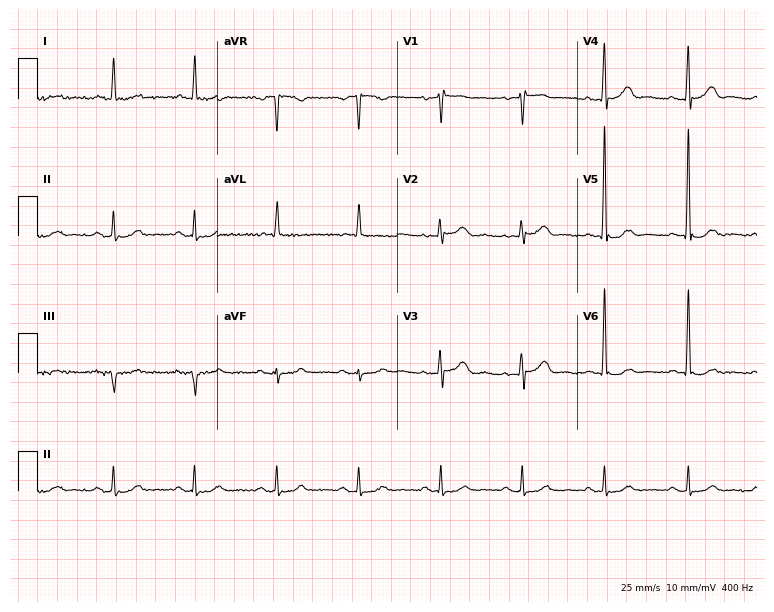
12-lead ECG (7.3-second recording at 400 Hz) from a male patient, 70 years old. Screened for six findings — first-degree AV block, right bundle branch block, left bundle branch block, sinus bradycardia, atrial fibrillation, sinus tachycardia — none is recorded.